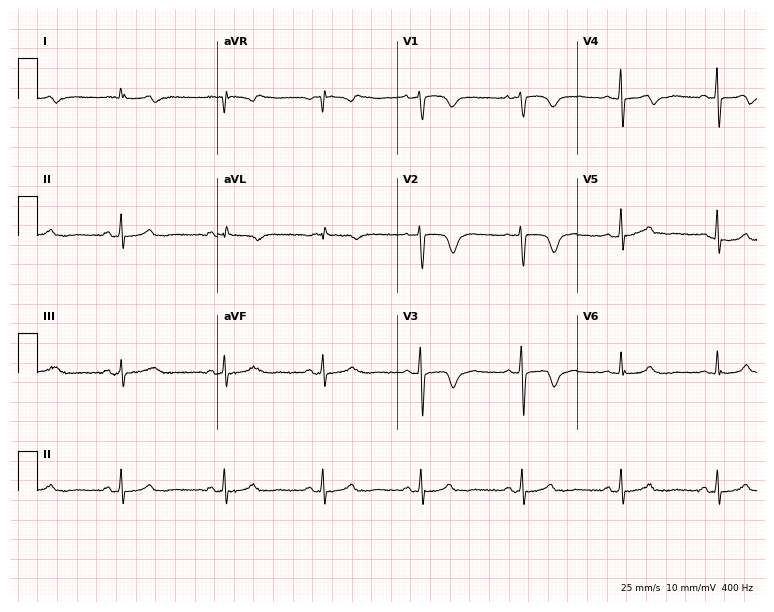
ECG (7.3-second recording at 400 Hz) — a female patient, 82 years old. Screened for six findings — first-degree AV block, right bundle branch block (RBBB), left bundle branch block (LBBB), sinus bradycardia, atrial fibrillation (AF), sinus tachycardia — none is recorded. Other findings, if any, are not listed.